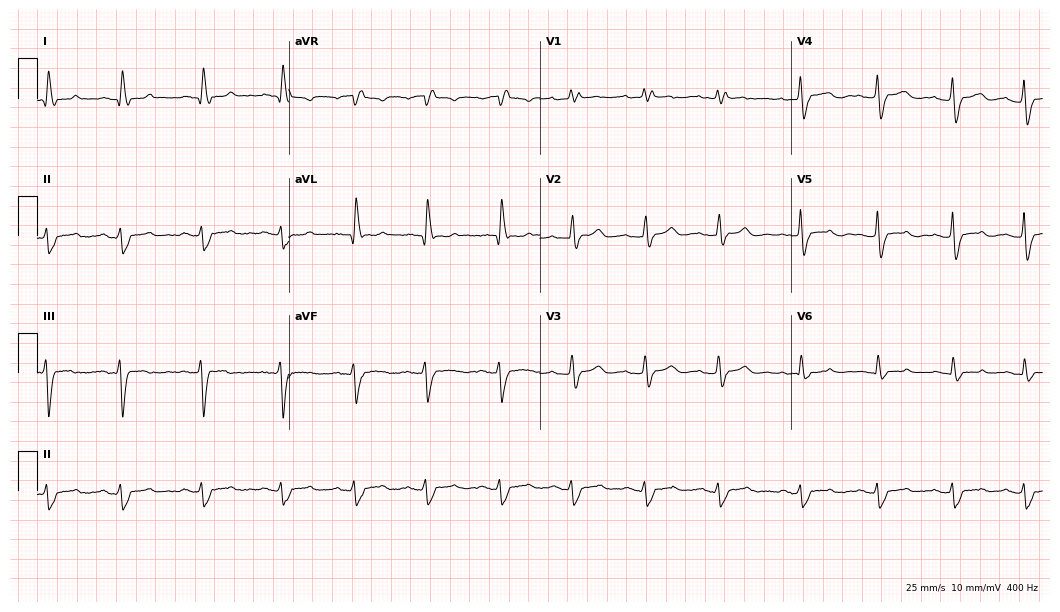
12-lead ECG from a 58-year-old female patient. Findings include right bundle branch block (RBBB).